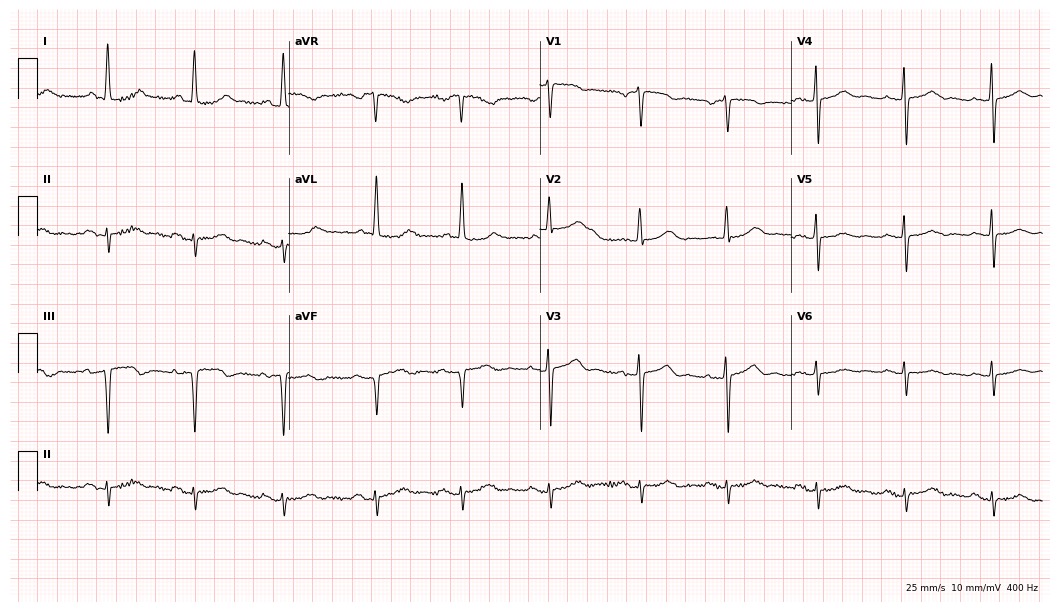
12-lead ECG from a 69-year-old female (10.2-second recording at 400 Hz). No first-degree AV block, right bundle branch block, left bundle branch block, sinus bradycardia, atrial fibrillation or sinus tachycardia recorded for this tracing. Other findings, if any, are not listed.